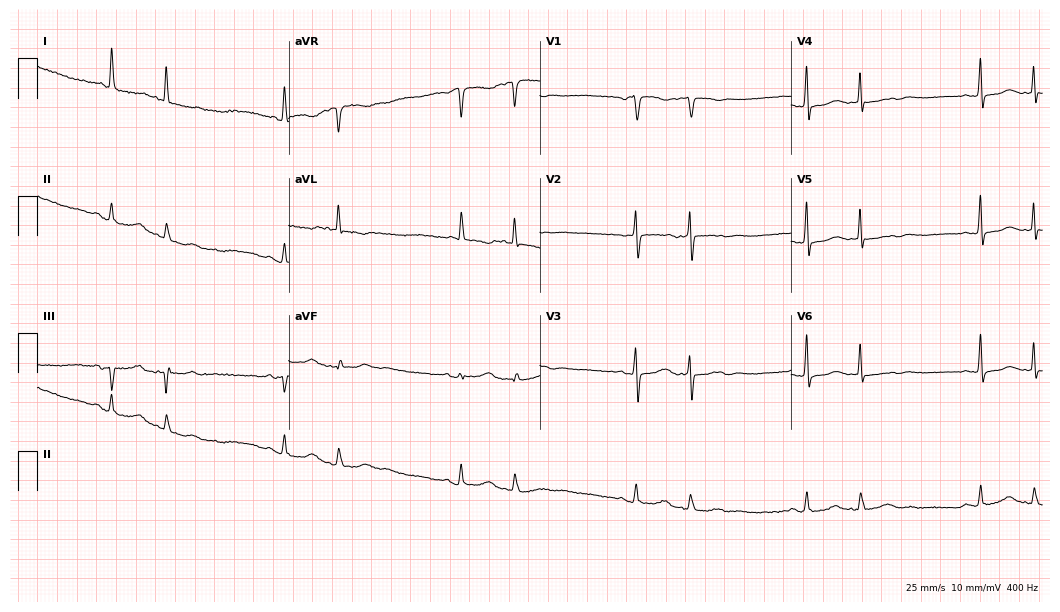
ECG (10.2-second recording at 400 Hz) — a woman, 75 years old. Screened for six findings — first-degree AV block, right bundle branch block, left bundle branch block, sinus bradycardia, atrial fibrillation, sinus tachycardia — none is recorded.